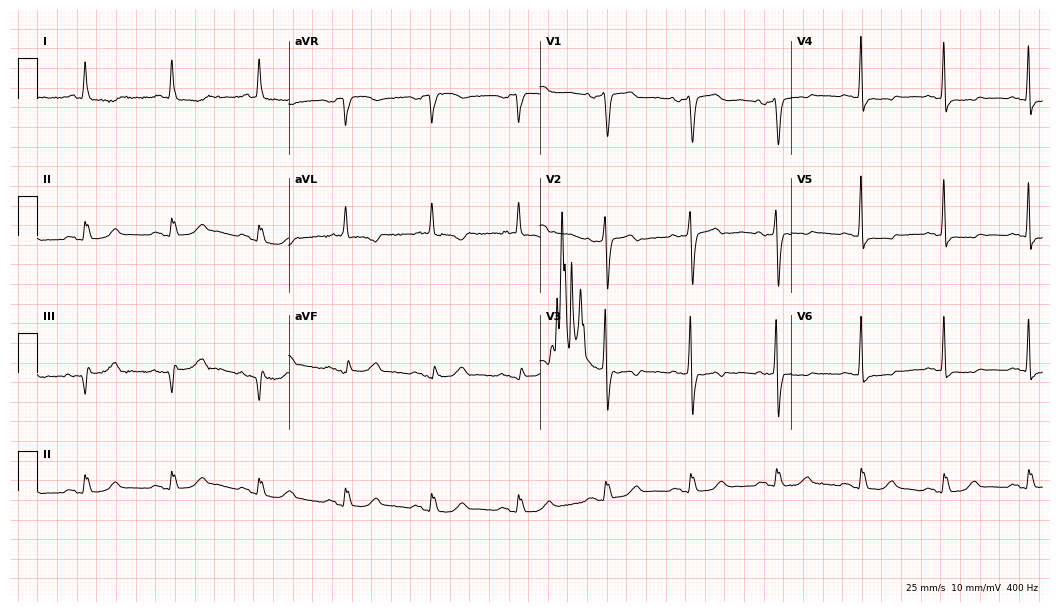
12-lead ECG from a female, 73 years old (10.2-second recording at 400 Hz). No first-degree AV block, right bundle branch block, left bundle branch block, sinus bradycardia, atrial fibrillation or sinus tachycardia recorded for this tracing. Other findings, if any, are not listed.